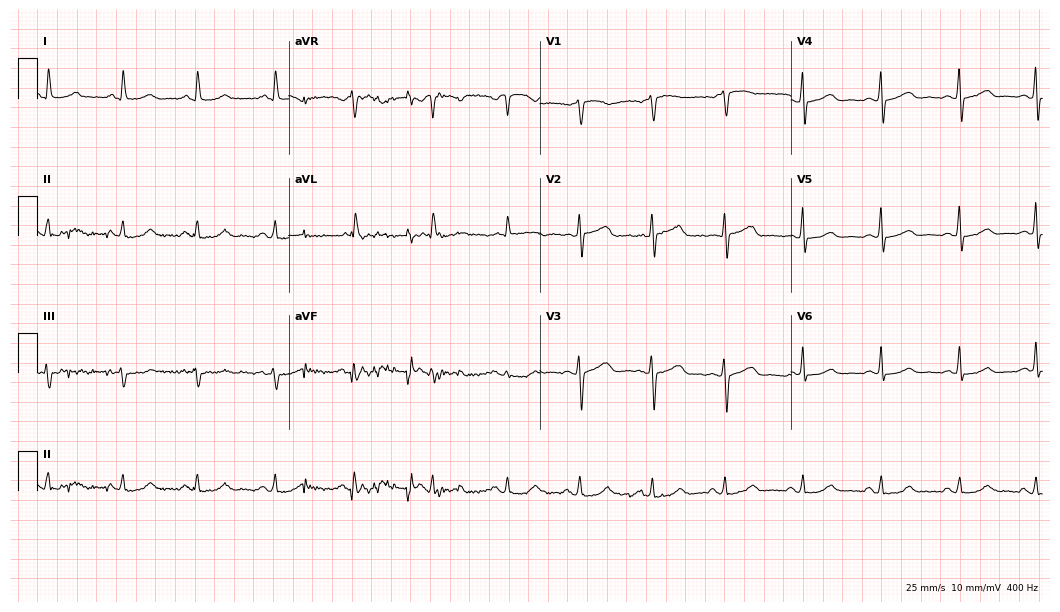
12-lead ECG from a woman, 79 years old. Labelled as a normal ECG.